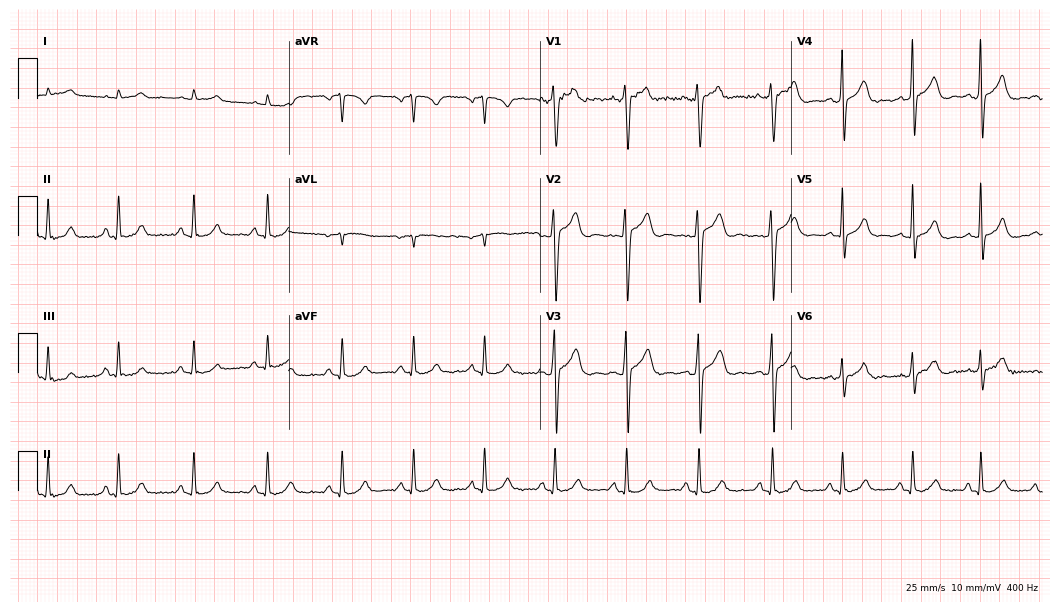
Electrocardiogram (10.2-second recording at 400 Hz), a male patient, 25 years old. Overall reading on record: normal ECG.